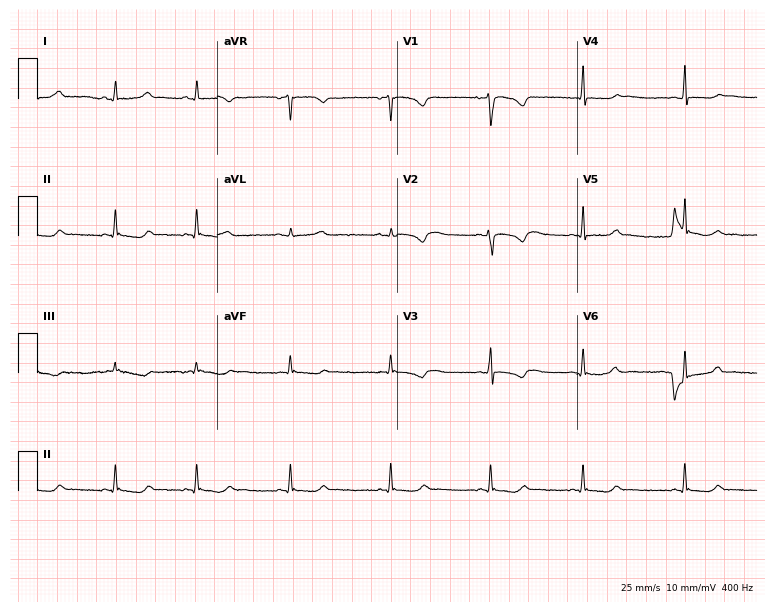
Electrocardiogram (7.3-second recording at 400 Hz), a female, 26 years old. Of the six screened findings (first-degree AV block, right bundle branch block, left bundle branch block, sinus bradycardia, atrial fibrillation, sinus tachycardia), none is recorded. Findings outside these six are not listed.